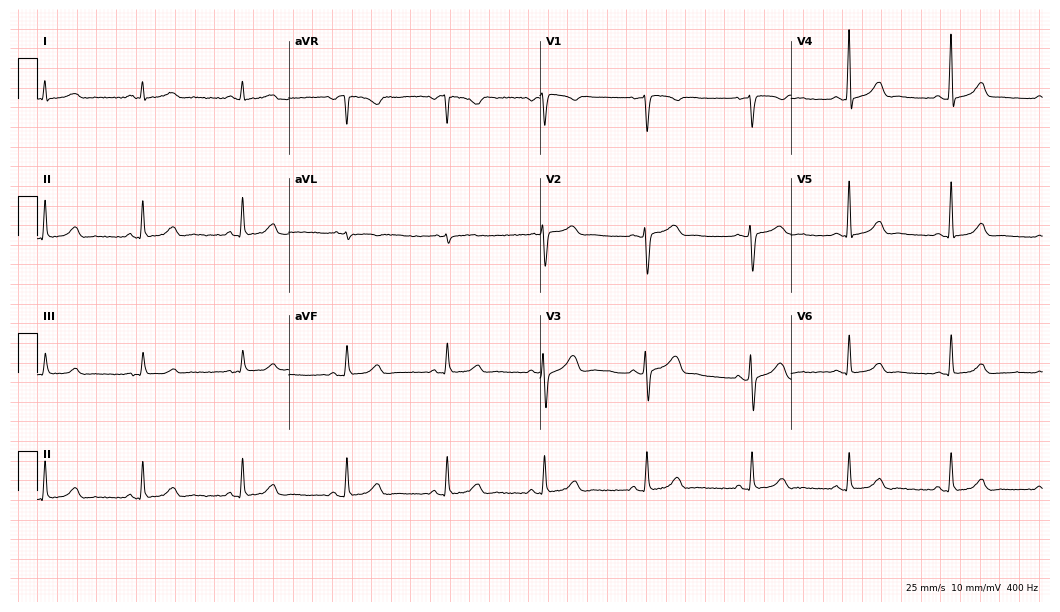
12-lead ECG from a woman, 82 years old. Labelled as a normal ECG.